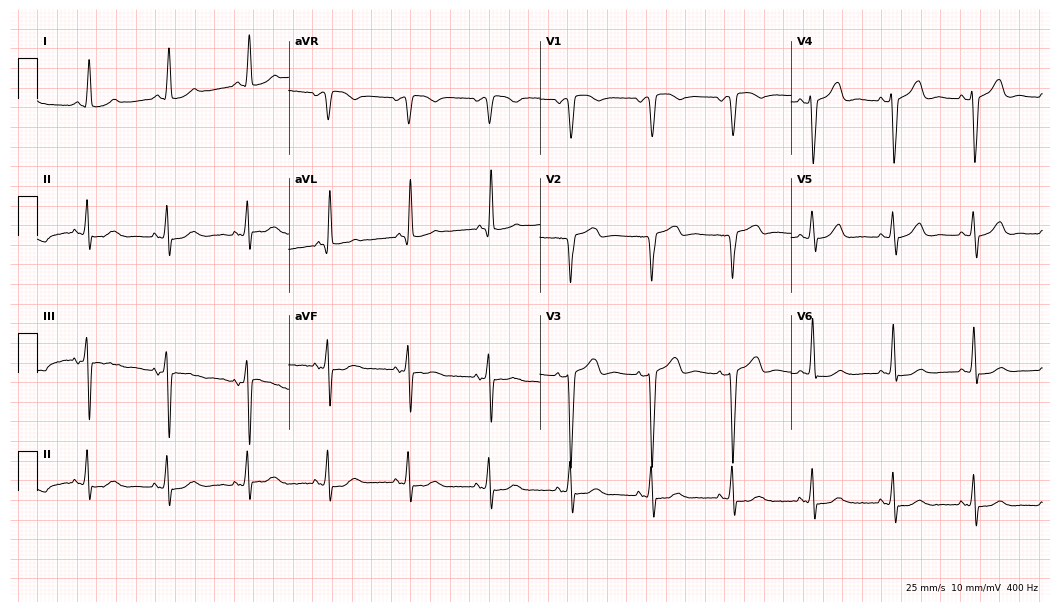
Resting 12-lead electrocardiogram (10.2-second recording at 400 Hz). Patient: an 81-year-old woman. None of these six findings is recorded: first-degree AV block, right bundle branch block, left bundle branch block, sinus bradycardia, atrial fibrillation, sinus tachycardia. Other findings, if any, are not listed.